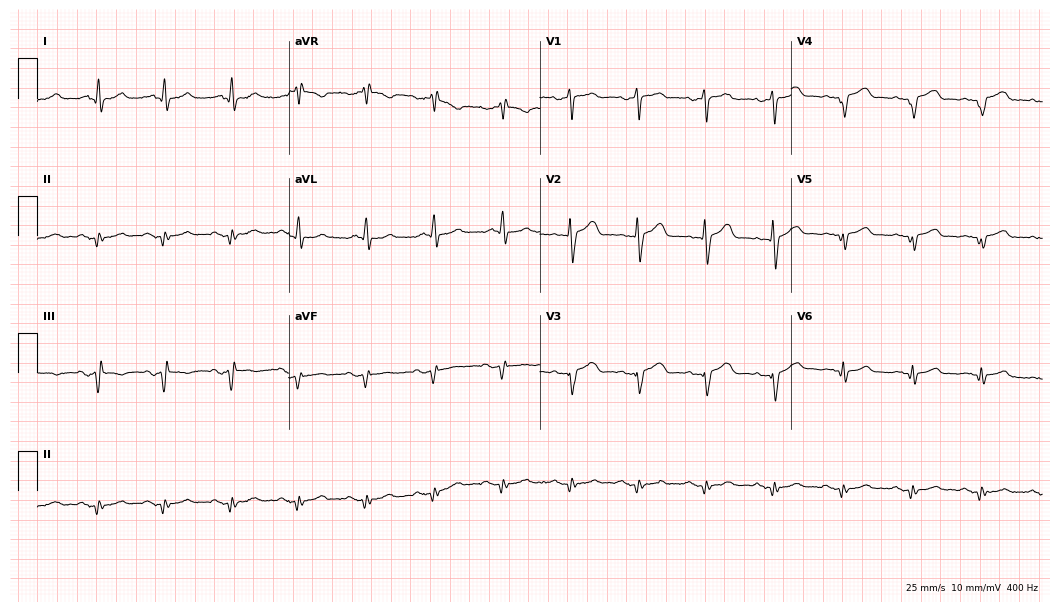
ECG — a male patient, 75 years old. Screened for six findings — first-degree AV block, right bundle branch block, left bundle branch block, sinus bradycardia, atrial fibrillation, sinus tachycardia — none is recorded. Other findings, if any, are not listed.